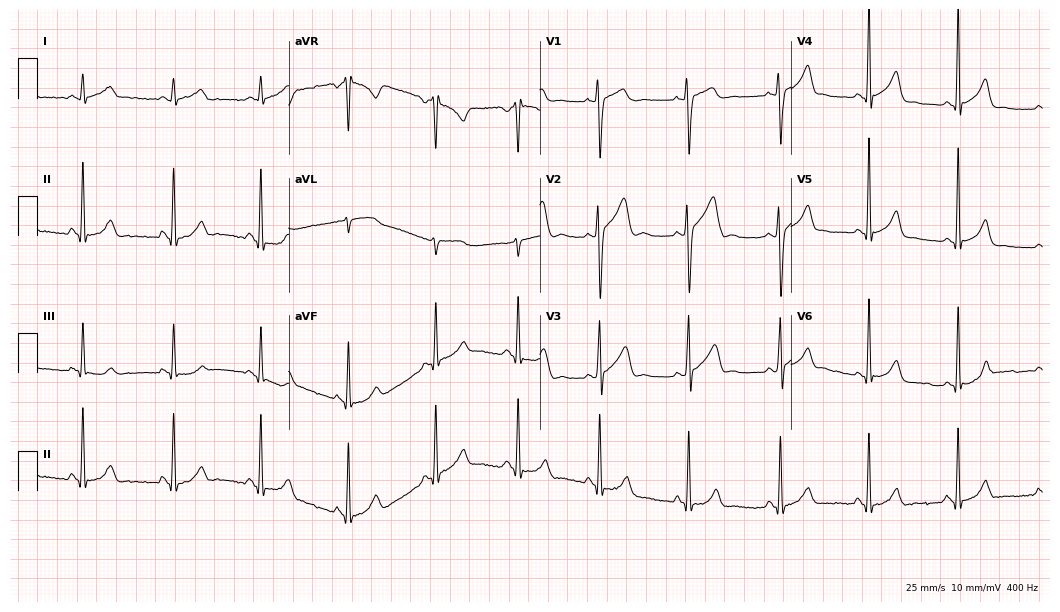
12-lead ECG from a man, 26 years old. Labelled as a normal ECG.